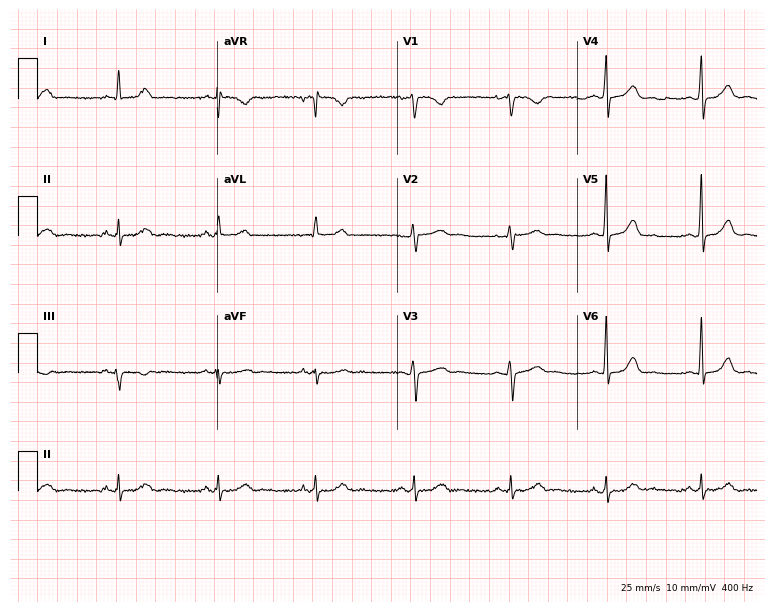
Standard 12-lead ECG recorded from a 54-year-old woman. Read as a normal ECG.